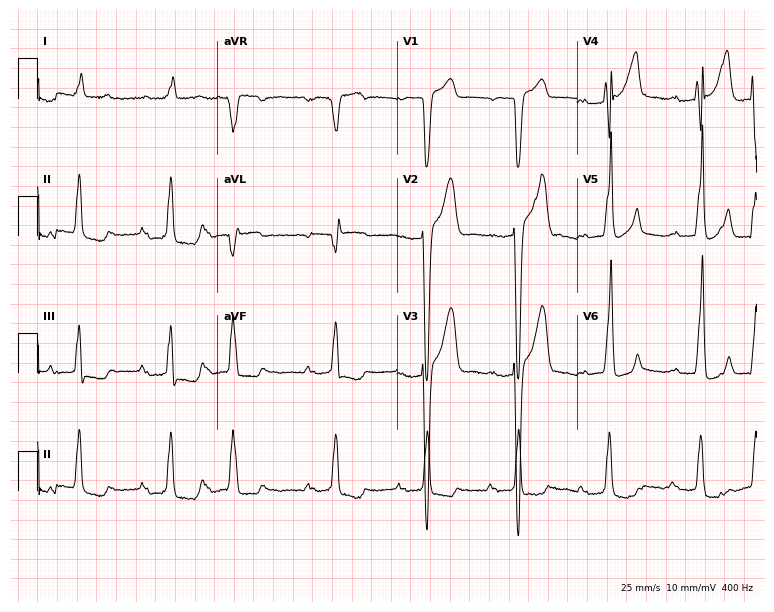
Standard 12-lead ECG recorded from a male patient, 85 years old. The tracing shows first-degree AV block, left bundle branch block (LBBB).